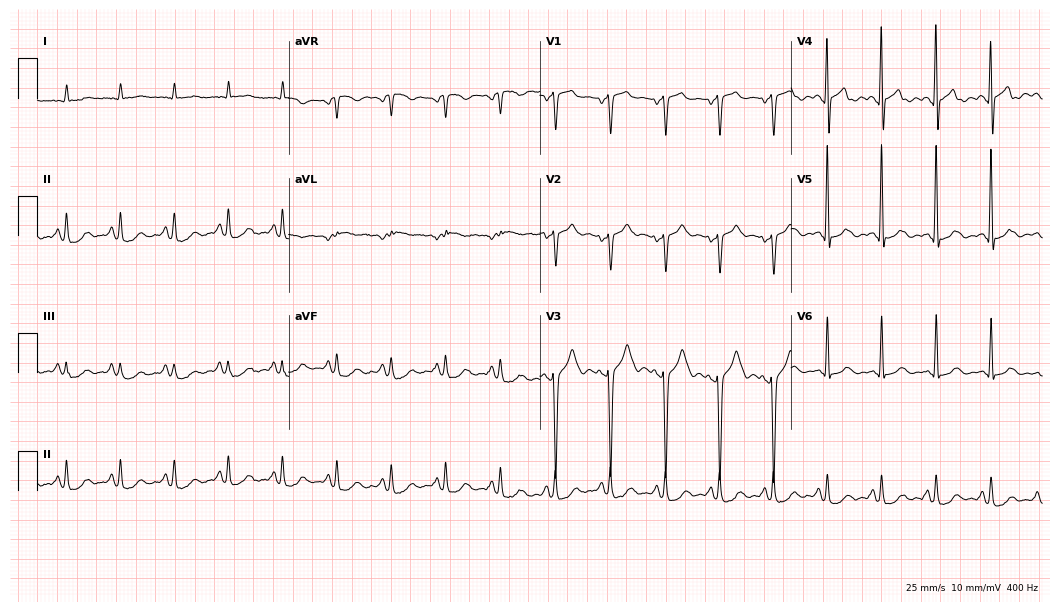
Electrocardiogram (10.2-second recording at 400 Hz), a 65-year-old male patient. Interpretation includes sinus tachycardia (a sinus rate of 100 beats per minute or more).